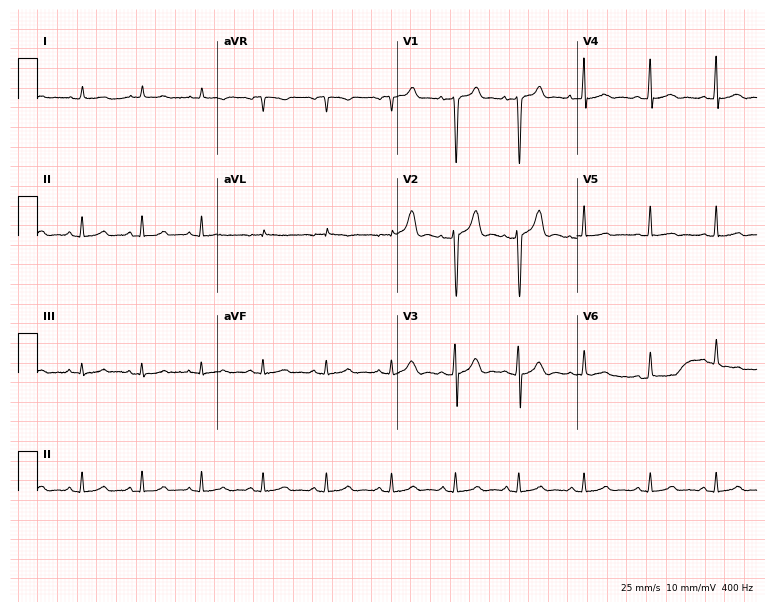
Standard 12-lead ECG recorded from a male patient, 20 years old. None of these six findings is recorded: first-degree AV block, right bundle branch block, left bundle branch block, sinus bradycardia, atrial fibrillation, sinus tachycardia.